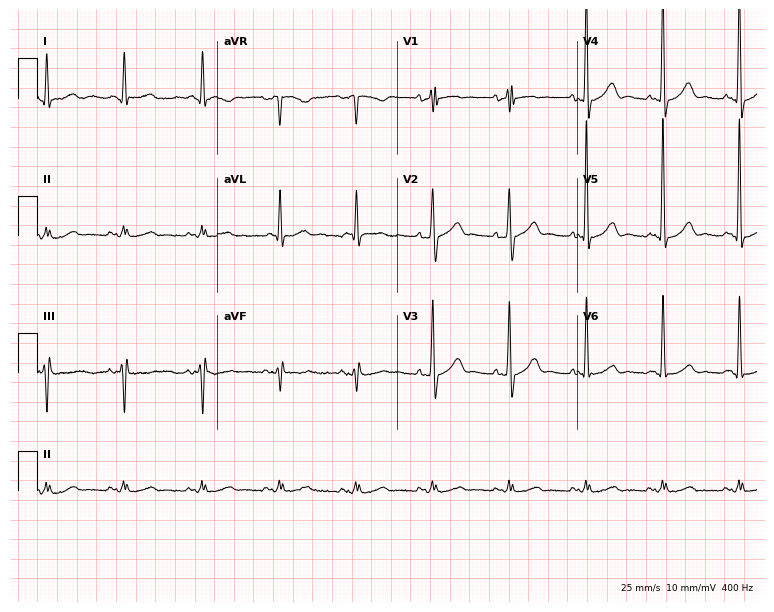
Electrocardiogram (7.3-second recording at 400 Hz), a male, 84 years old. Of the six screened findings (first-degree AV block, right bundle branch block, left bundle branch block, sinus bradycardia, atrial fibrillation, sinus tachycardia), none is recorded. Other findings, if any, are not listed.